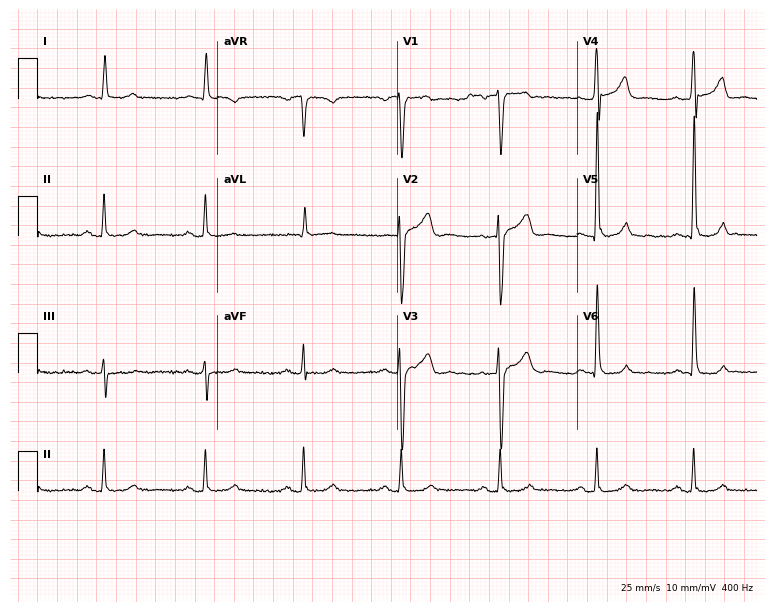
Standard 12-lead ECG recorded from a 68-year-old male patient. None of these six findings is recorded: first-degree AV block, right bundle branch block, left bundle branch block, sinus bradycardia, atrial fibrillation, sinus tachycardia. Other findings, if any, are not listed.